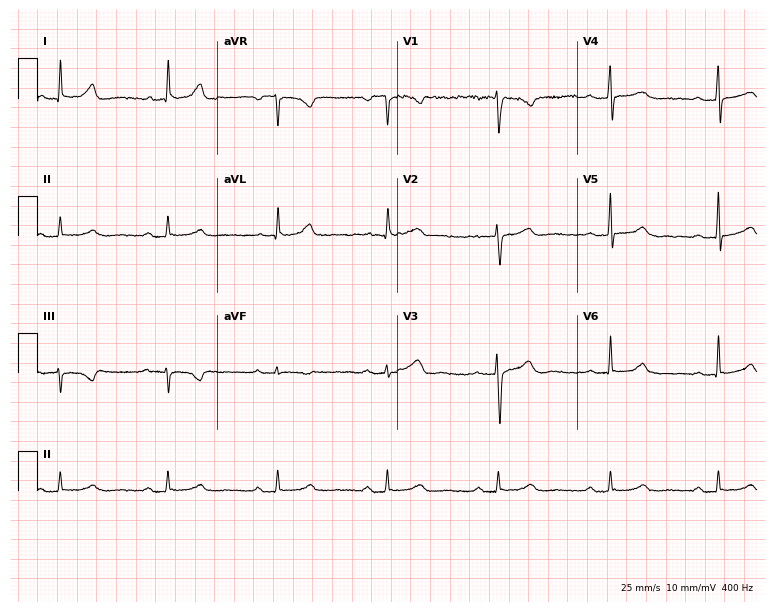
Electrocardiogram (7.3-second recording at 400 Hz), a 40-year-old female patient. Interpretation includes first-degree AV block.